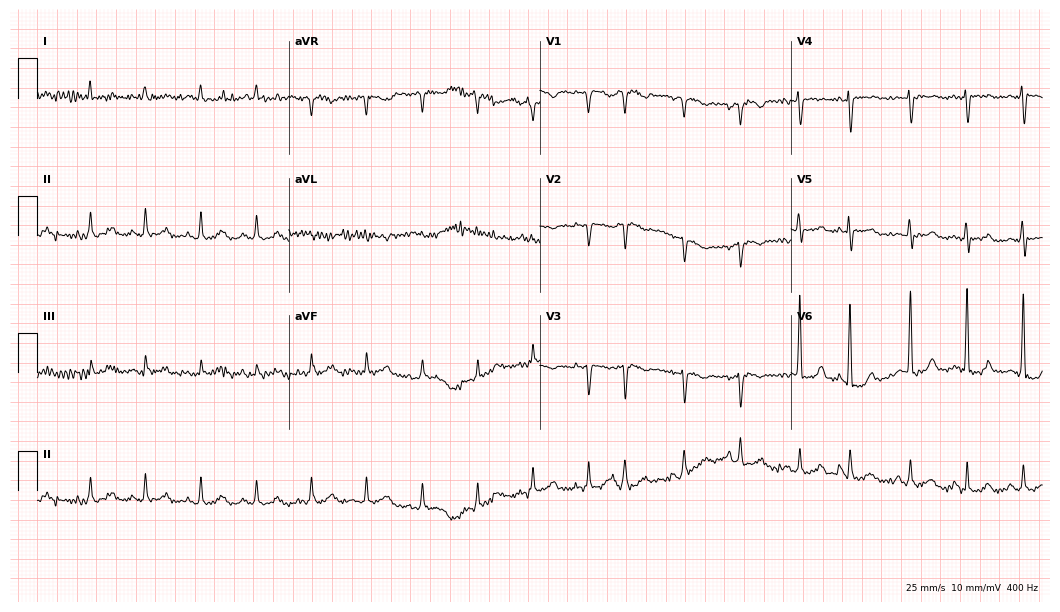
12-lead ECG (10.2-second recording at 400 Hz) from a female patient, 85 years old. Screened for six findings — first-degree AV block, right bundle branch block (RBBB), left bundle branch block (LBBB), sinus bradycardia, atrial fibrillation (AF), sinus tachycardia — none is recorded.